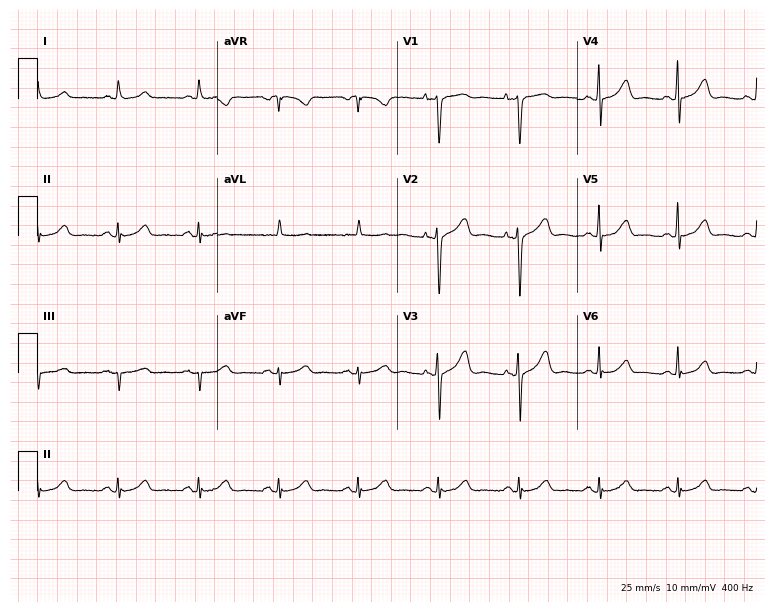
ECG (7.3-second recording at 400 Hz) — a male patient, 56 years old. Labelled as a normal ECG.